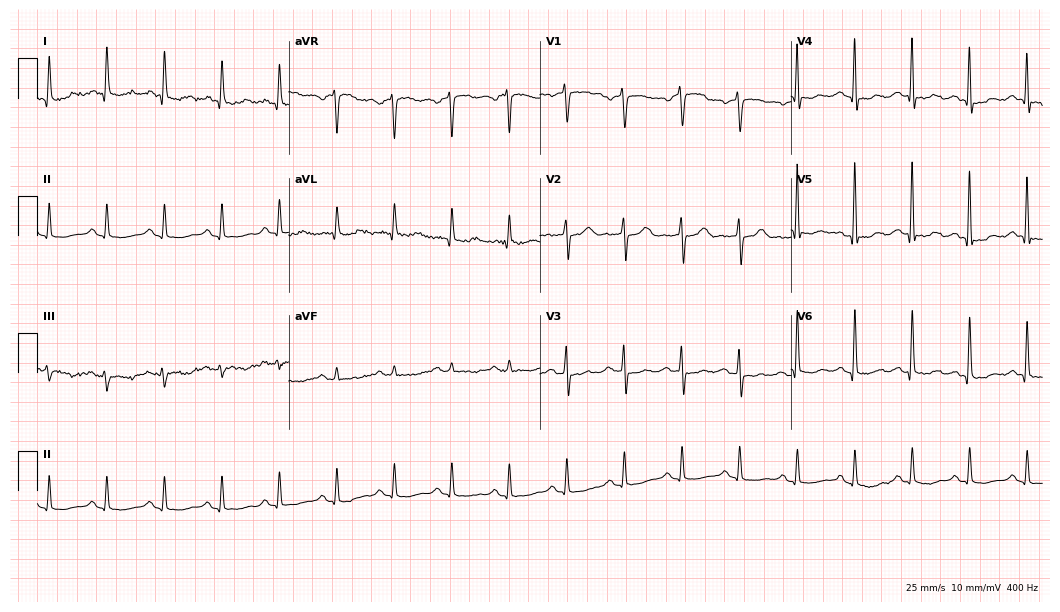
12-lead ECG from a woman, 77 years old (10.2-second recording at 400 Hz). Shows sinus tachycardia (a sinus rate of 100 beats per minute or more).